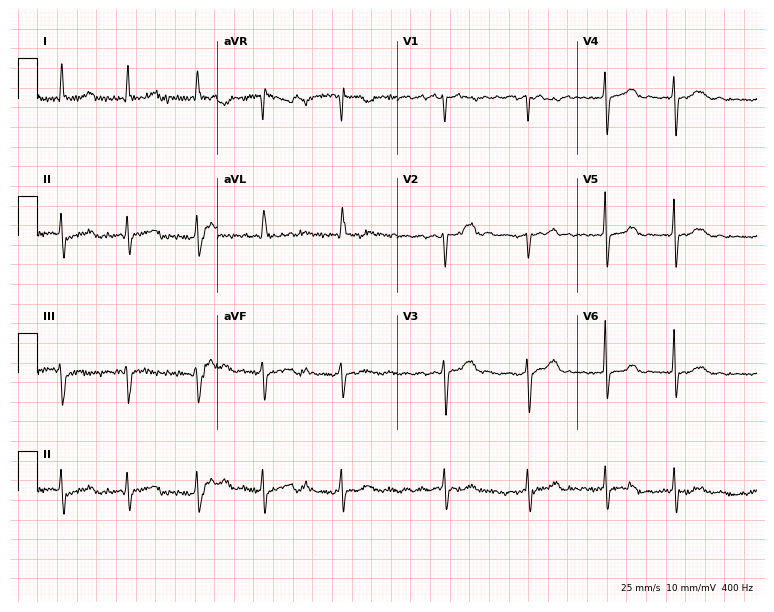
ECG (7.3-second recording at 400 Hz) — a 78-year-old female patient. Screened for six findings — first-degree AV block, right bundle branch block (RBBB), left bundle branch block (LBBB), sinus bradycardia, atrial fibrillation (AF), sinus tachycardia — none is recorded.